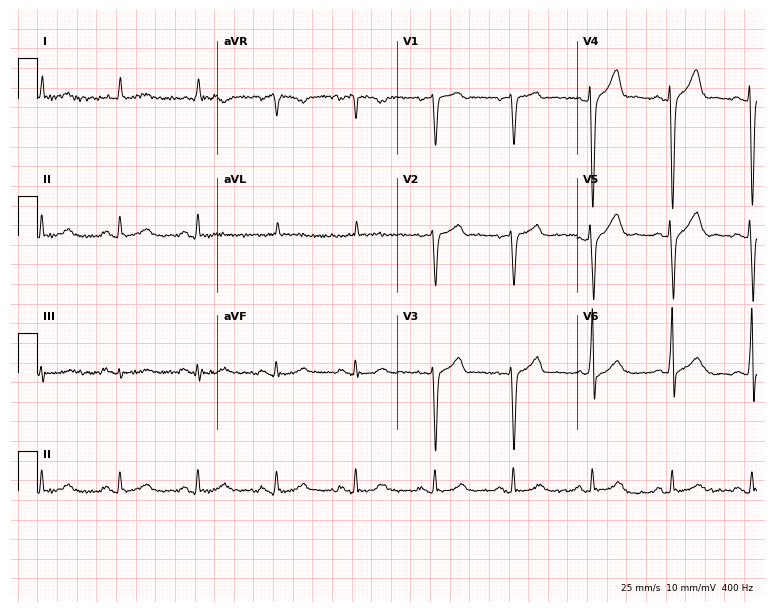
12-lead ECG (7.3-second recording at 400 Hz) from a 66-year-old male patient. Labelled as a normal ECG.